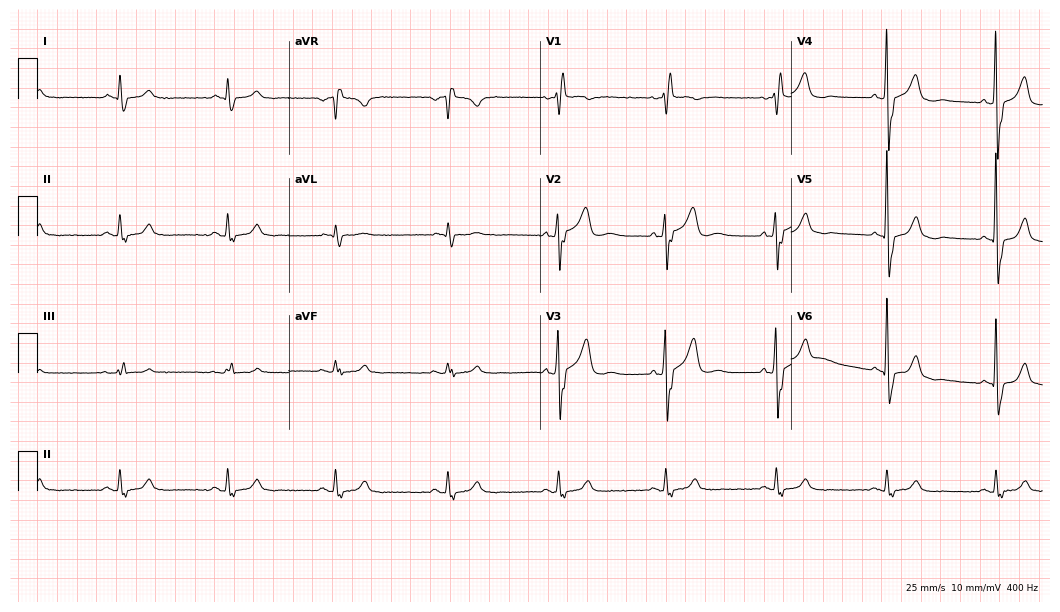
Standard 12-lead ECG recorded from a male patient, 55 years old. None of these six findings is recorded: first-degree AV block, right bundle branch block, left bundle branch block, sinus bradycardia, atrial fibrillation, sinus tachycardia. Only these six findings were labelled.